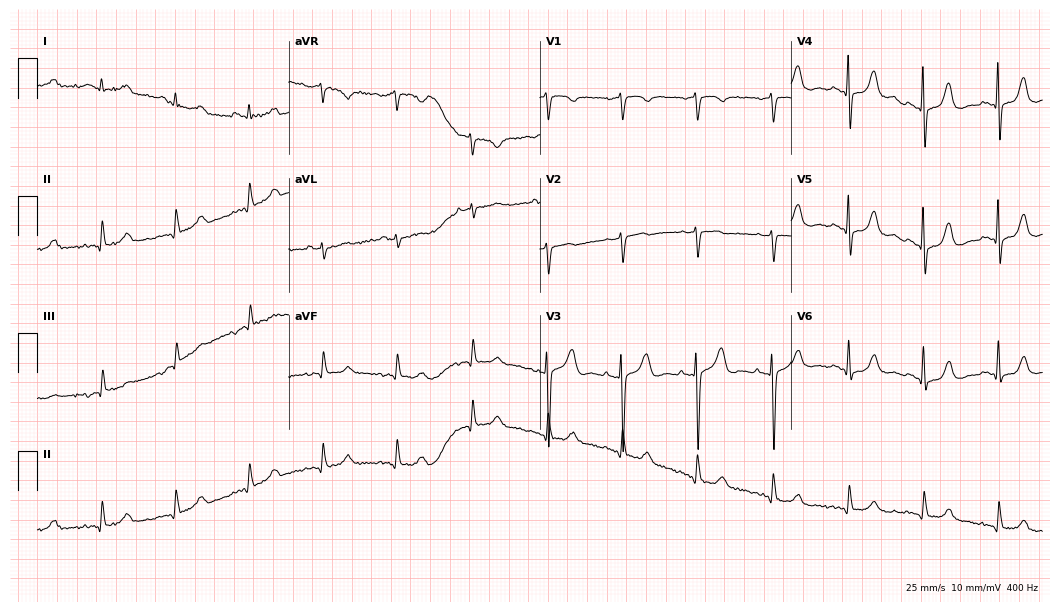
12-lead ECG from an 83-year-old female patient. Recorded interpretation: within normal limits.